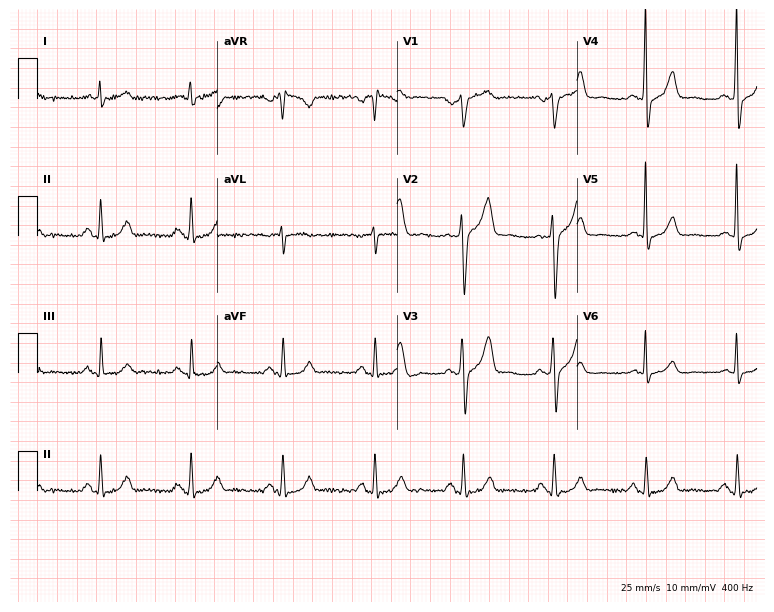
Resting 12-lead electrocardiogram (7.3-second recording at 400 Hz). Patient: a man, 59 years old. None of these six findings is recorded: first-degree AV block, right bundle branch block (RBBB), left bundle branch block (LBBB), sinus bradycardia, atrial fibrillation (AF), sinus tachycardia.